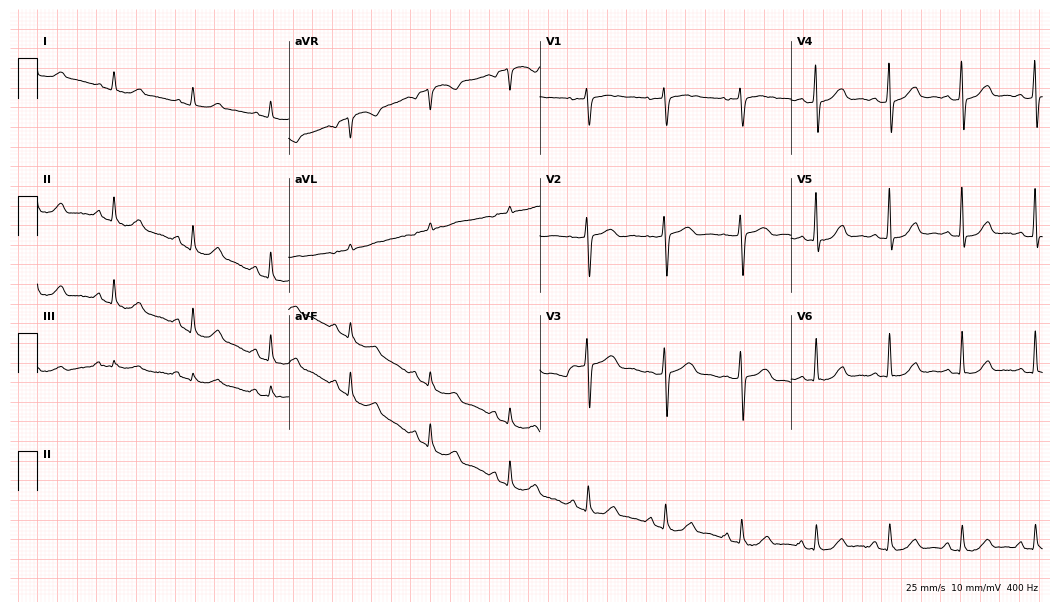
Standard 12-lead ECG recorded from a 50-year-old female patient (10.2-second recording at 400 Hz). Read as a normal ECG.